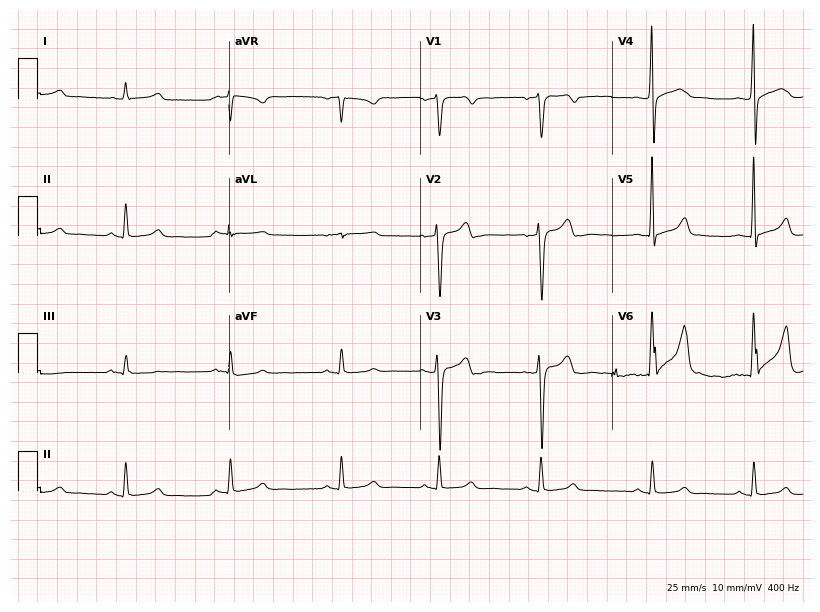
12-lead ECG from a male, 38 years old (7.8-second recording at 400 Hz). Recorded interpretation: within normal limits.